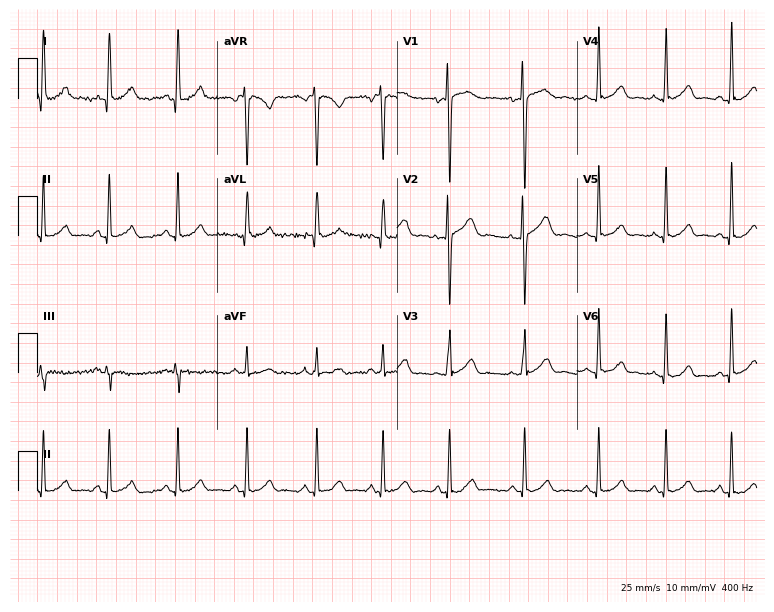
12-lead ECG (7.3-second recording at 400 Hz) from a 35-year-old woman. Labelled as a normal ECG.